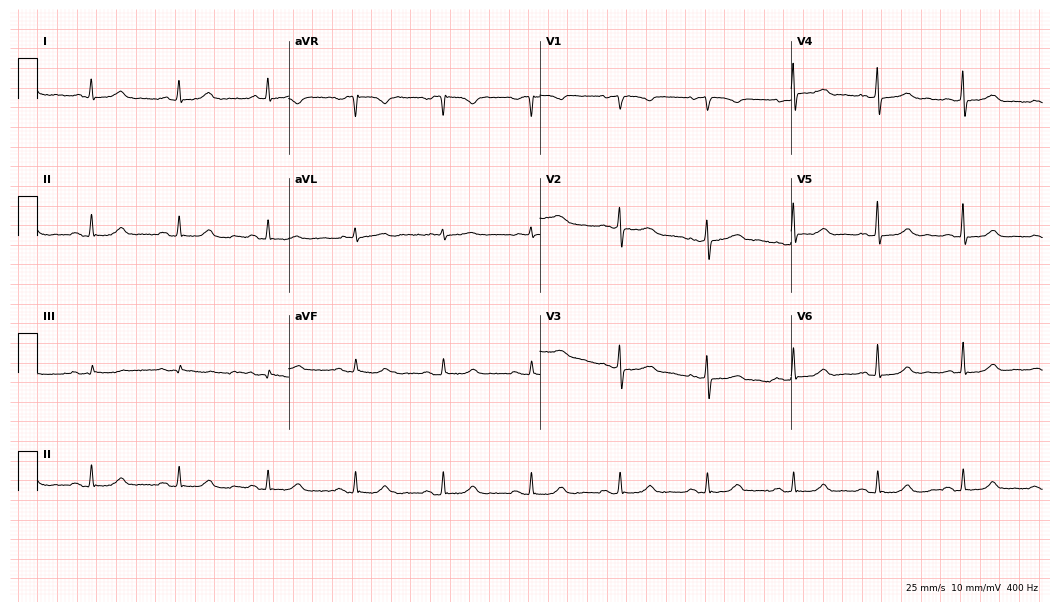
12-lead ECG from a woman, 63 years old. Recorded interpretation: within normal limits.